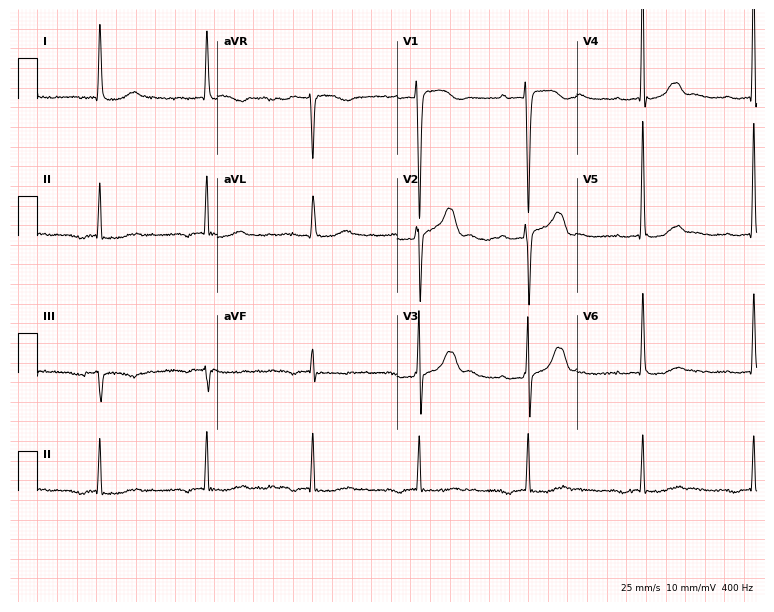
Electrocardiogram (7.3-second recording at 400 Hz), a man, 82 years old. Interpretation includes first-degree AV block.